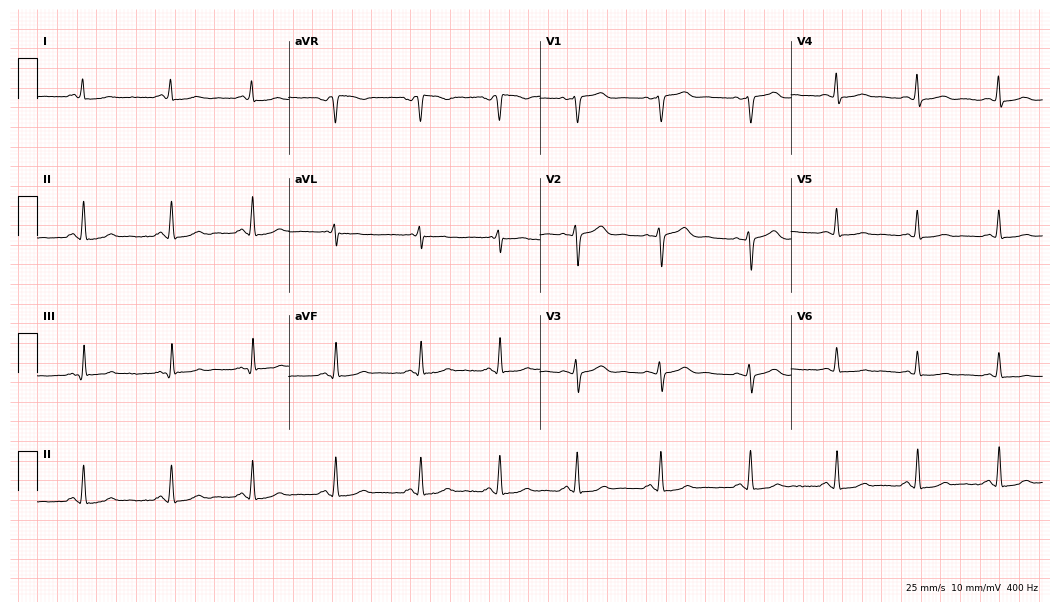
ECG — a female, 32 years old. Screened for six findings — first-degree AV block, right bundle branch block, left bundle branch block, sinus bradycardia, atrial fibrillation, sinus tachycardia — none is recorded.